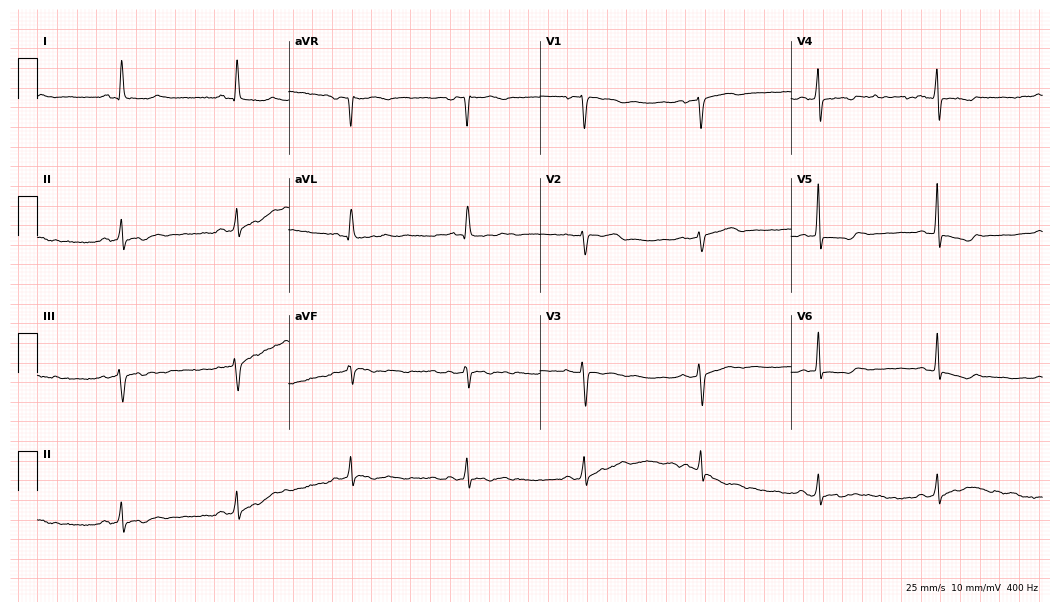
Electrocardiogram, a female, 74 years old. Of the six screened findings (first-degree AV block, right bundle branch block, left bundle branch block, sinus bradycardia, atrial fibrillation, sinus tachycardia), none is recorded. Findings outside these six are not listed.